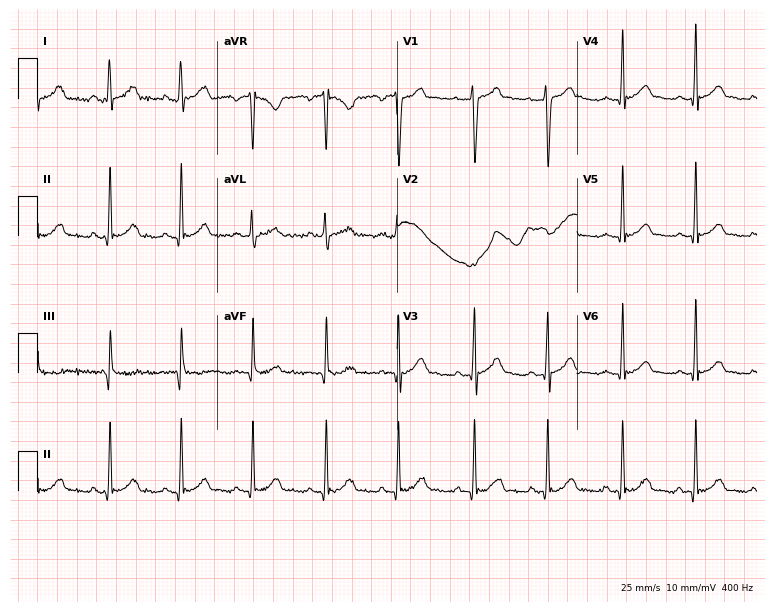
ECG (7.3-second recording at 400 Hz) — a male patient, 21 years old. Screened for six findings — first-degree AV block, right bundle branch block, left bundle branch block, sinus bradycardia, atrial fibrillation, sinus tachycardia — none is recorded. Only these six findings were labelled.